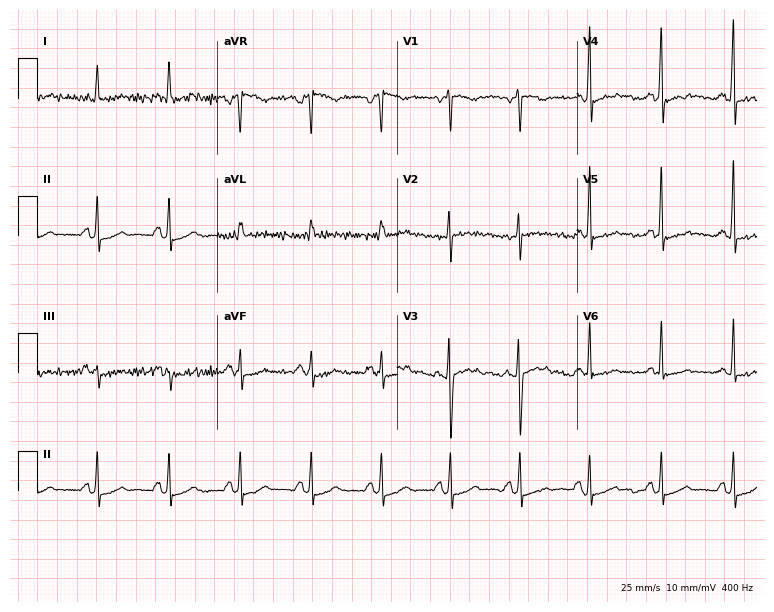
Resting 12-lead electrocardiogram (7.3-second recording at 400 Hz). Patient: a 43-year-old woman. Read as a normal ECG.